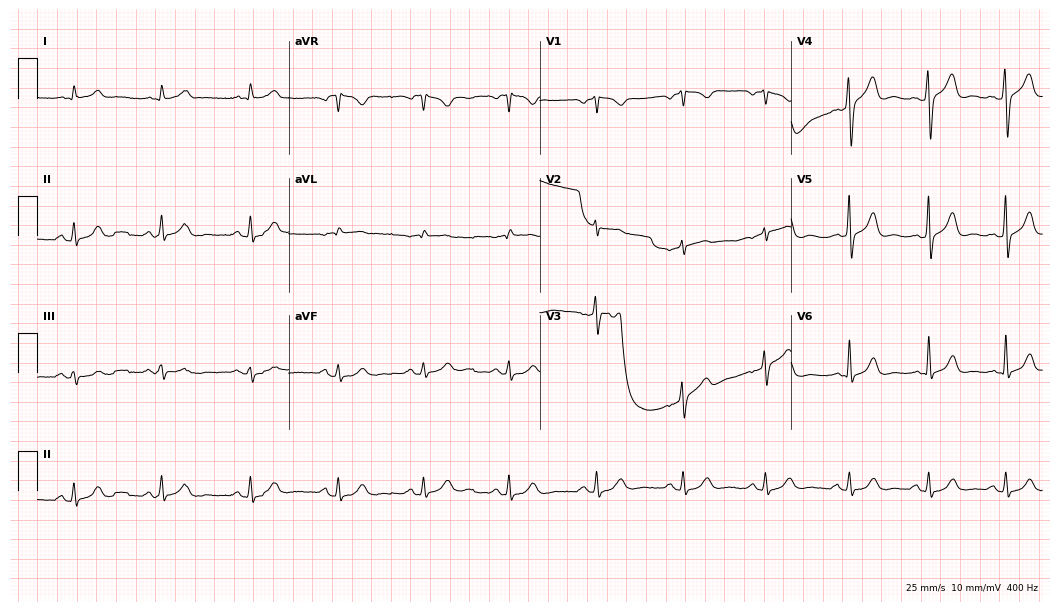
12-lead ECG from a male, 55 years old. Recorded interpretation: within normal limits.